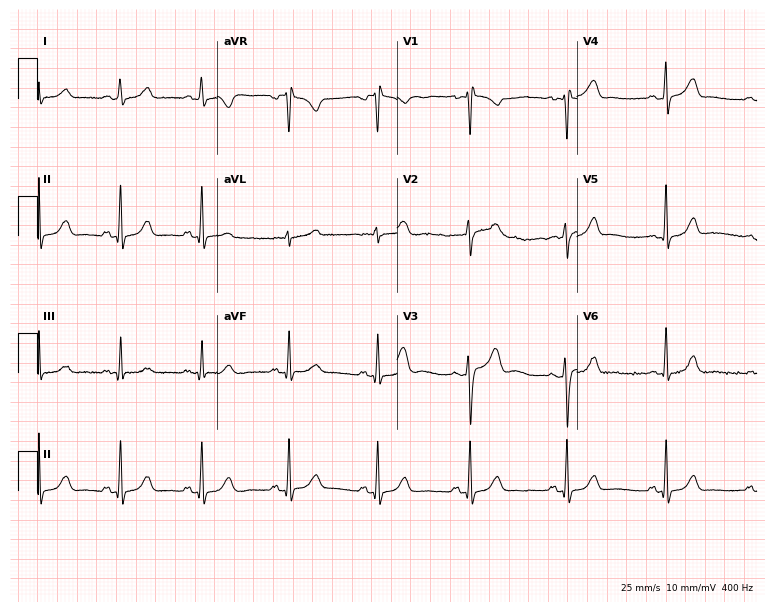
12-lead ECG from a 32-year-old female (7.3-second recording at 400 Hz). Recorded interpretation: within normal limits.